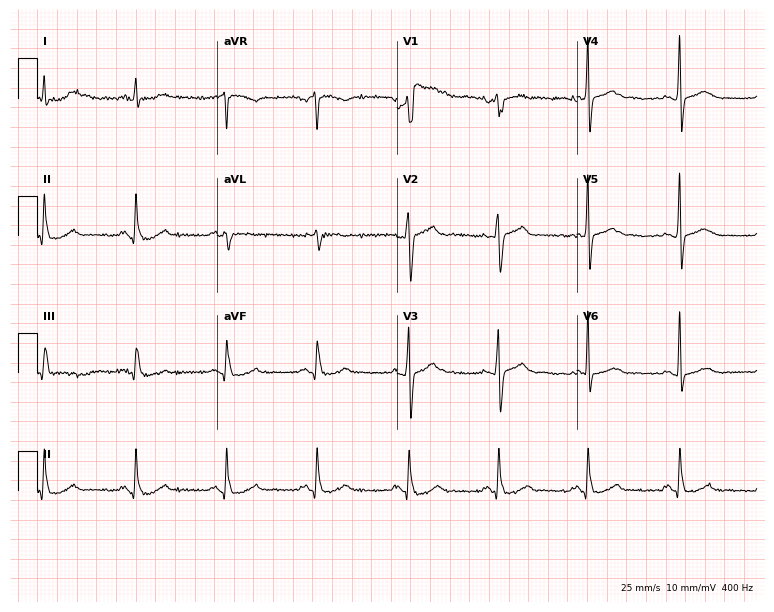
Standard 12-lead ECG recorded from a male, 74 years old (7.3-second recording at 400 Hz). Read as a normal ECG.